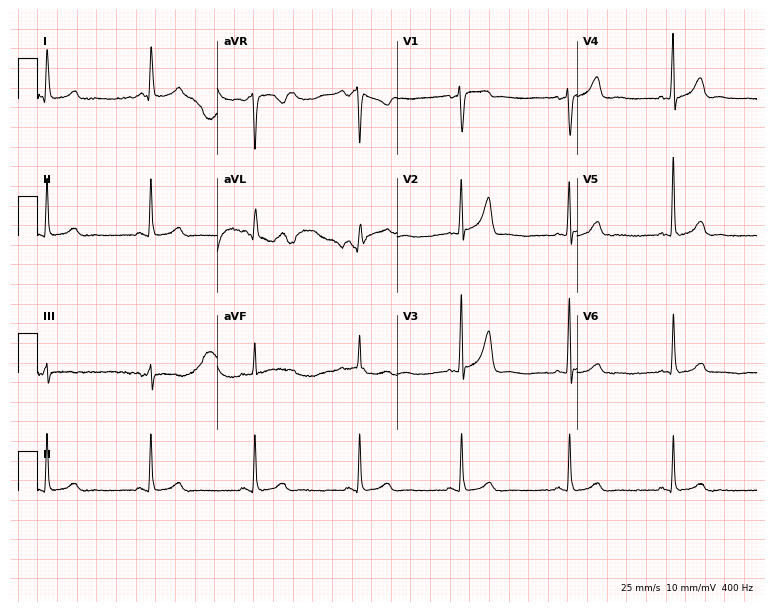
Resting 12-lead electrocardiogram. Patient: a 68-year-old man. Read as a normal ECG.